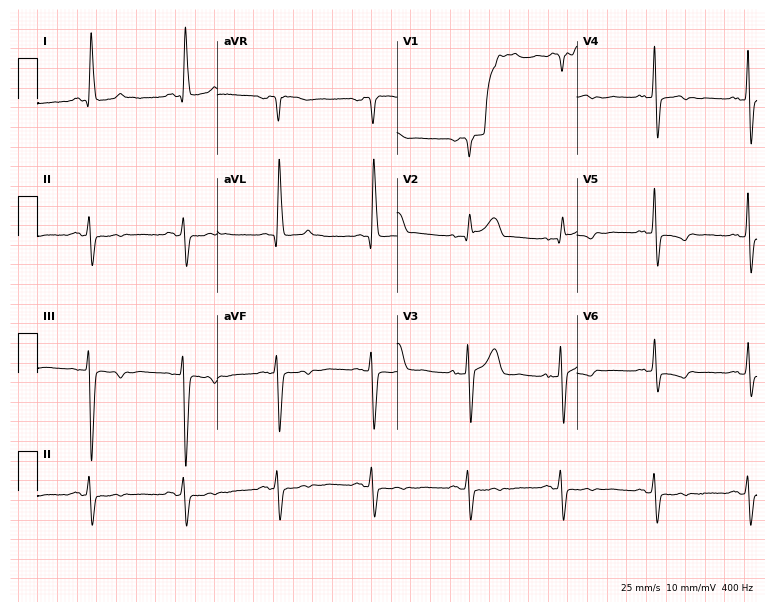
12-lead ECG from a 66-year-old male. No first-degree AV block, right bundle branch block, left bundle branch block, sinus bradycardia, atrial fibrillation or sinus tachycardia recorded for this tracing. Findings outside these six are not listed.